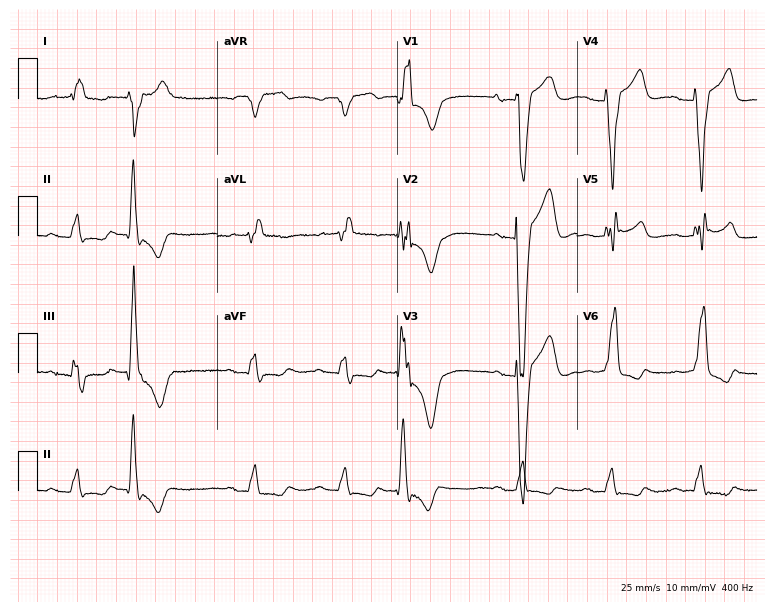
12-lead ECG from an 86-year-old female patient (7.3-second recording at 400 Hz). No first-degree AV block, right bundle branch block, left bundle branch block, sinus bradycardia, atrial fibrillation or sinus tachycardia recorded for this tracing. Findings outside these six are not listed.